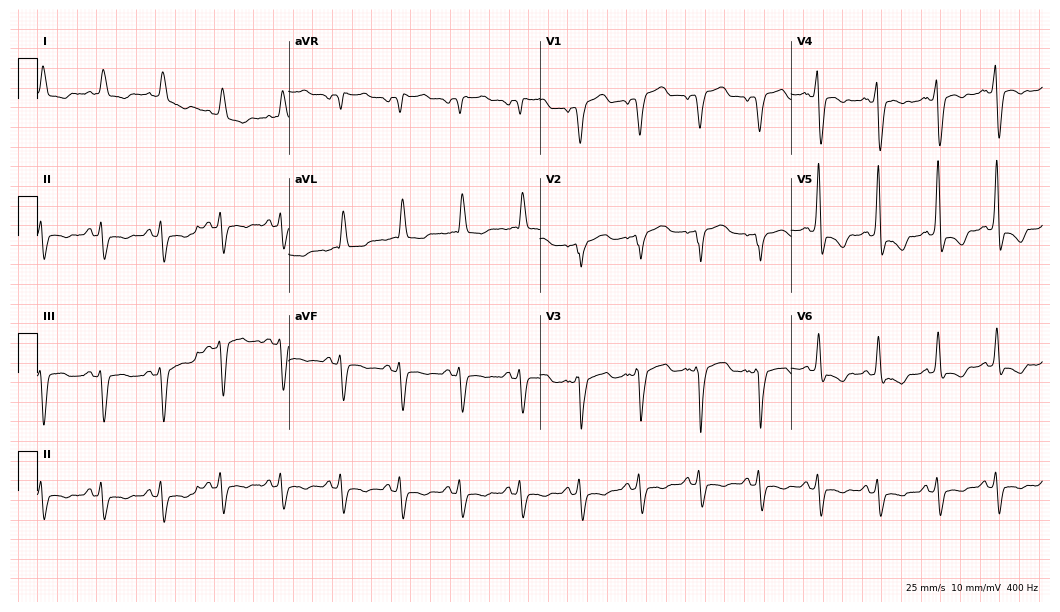
12-lead ECG from an 85-year-old man. Findings include left bundle branch block.